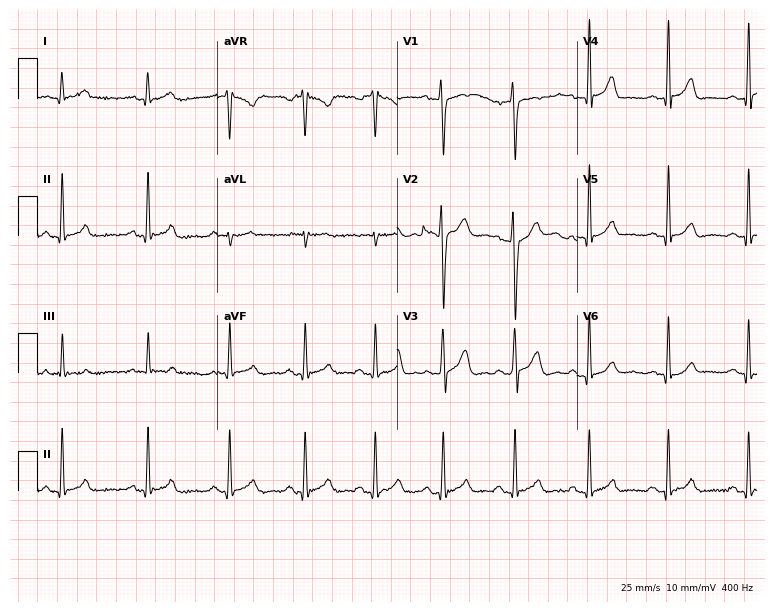
Resting 12-lead electrocardiogram. Patient: a 31-year-old male. Read as a normal ECG.